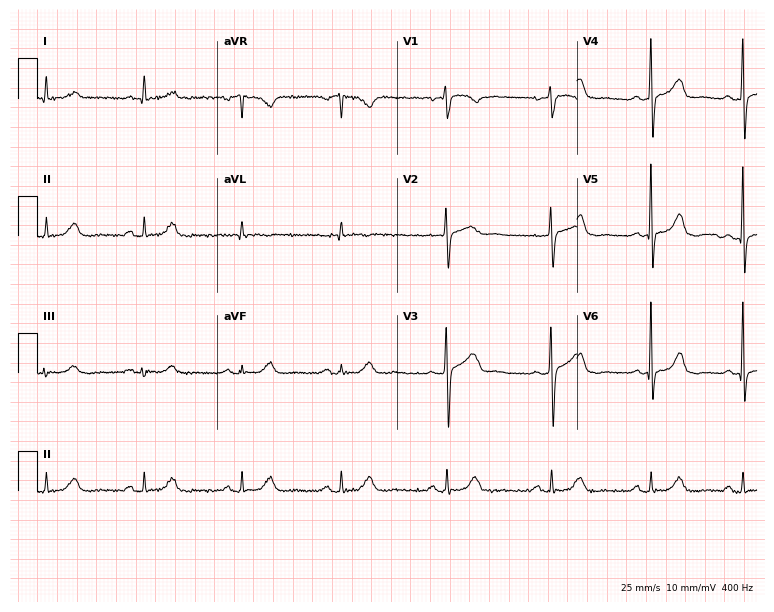
ECG — a 62-year-old female patient. Labelled as a normal ECG.